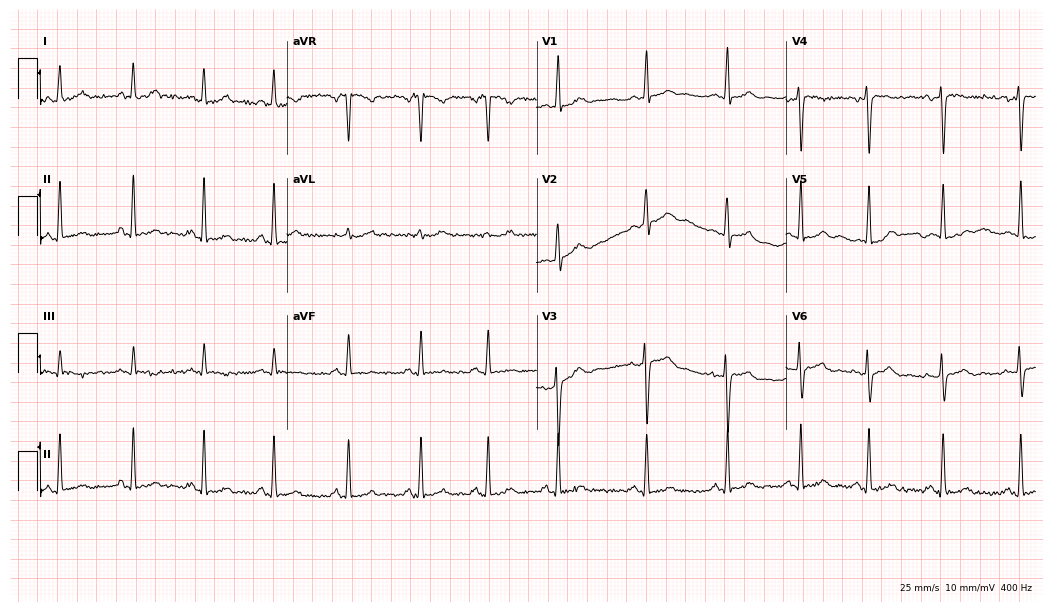
ECG (10.2-second recording at 400 Hz) — a 24-year-old female. Screened for six findings — first-degree AV block, right bundle branch block (RBBB), left bundle branch block (LBBB), sinus bradycardia, atrial fibrillation (AF), sinus tachycardia — none is recorded. Only these six findings were labelled.